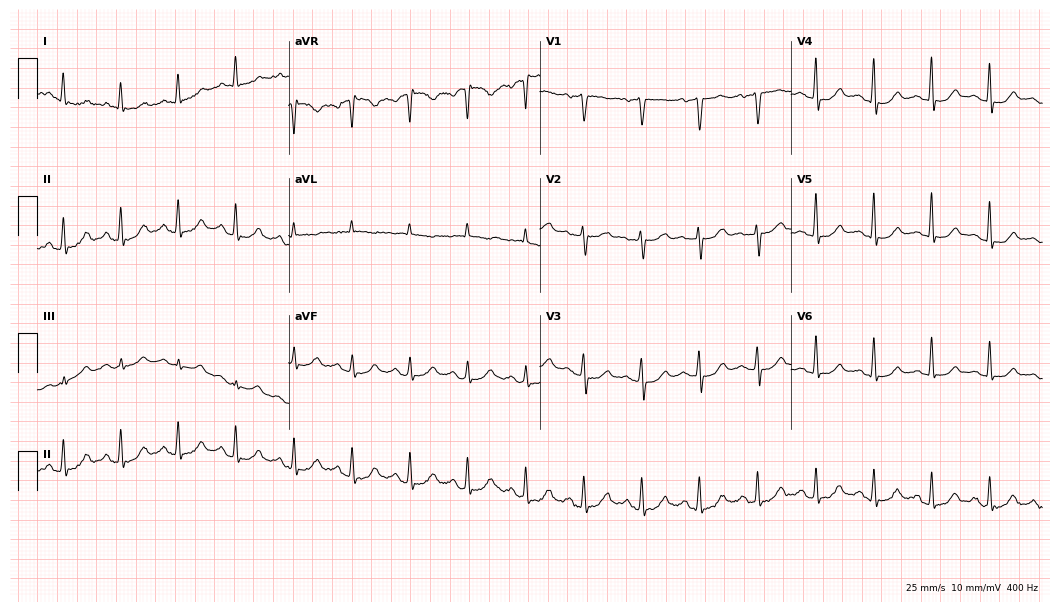
Electrocardiogram (10.2-second recording at 400 Hz), a female, 57 years old. Overall reading on record: normal ECG.